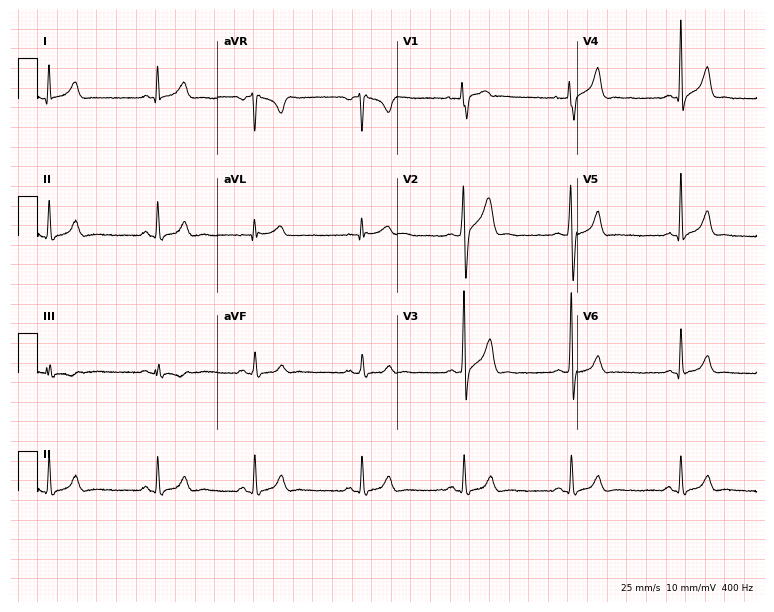
Standard 12-lead ECG recorded from a male, 23 years old (7.3-second recording at 400 Hz). None of these six findings is recorded: first-degree AV block, right bundle branch block, left bundle branch block, sinus bradycardia, atrial fibrillation, sinus tachycardia.